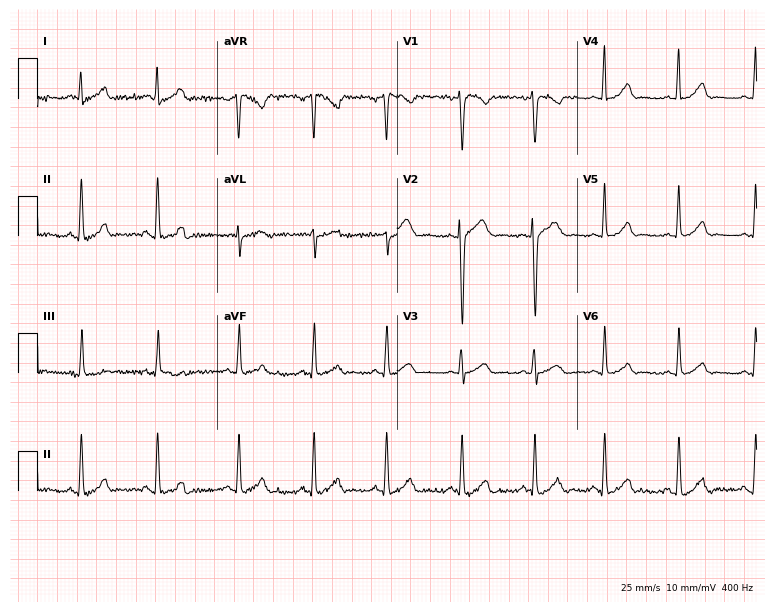
12-lead ECG (7.3-second recording at 400 Hz) from a female patient, 17 years old. Labelled as a normal ECG.